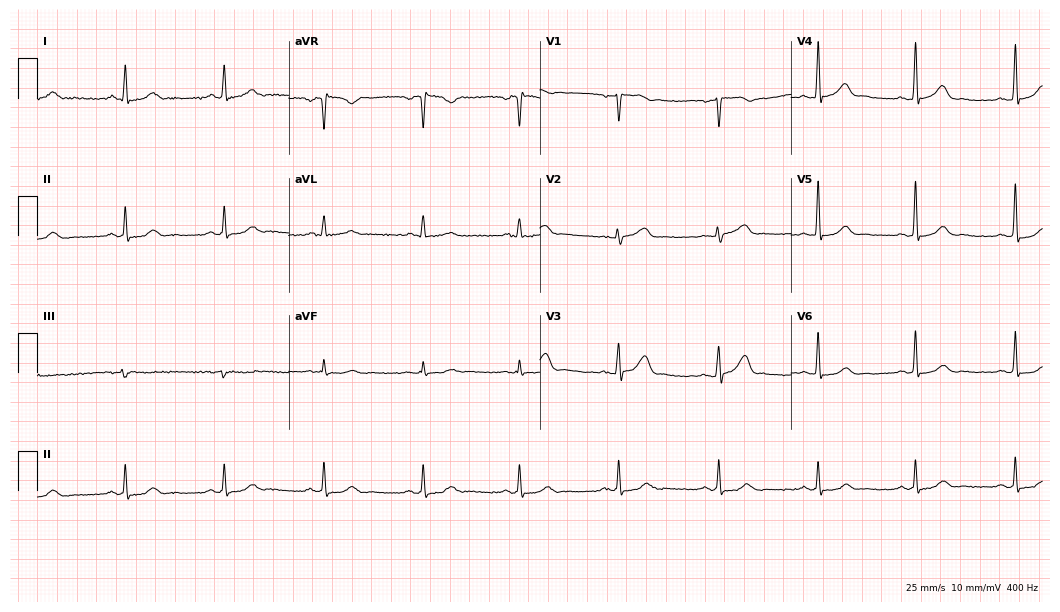
ECG — a man, 64 years old. Labelled as a normal ECG.